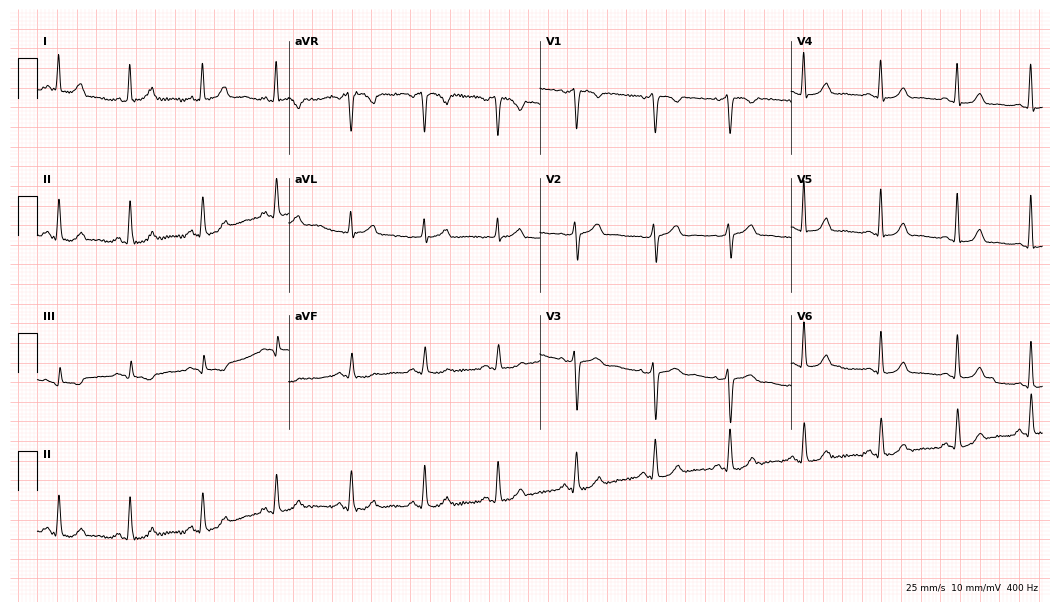
12-lead ECG from a 50-year-old woman (10.2-second recording at 400 Hz). Recorded interpretation: within normal limits.